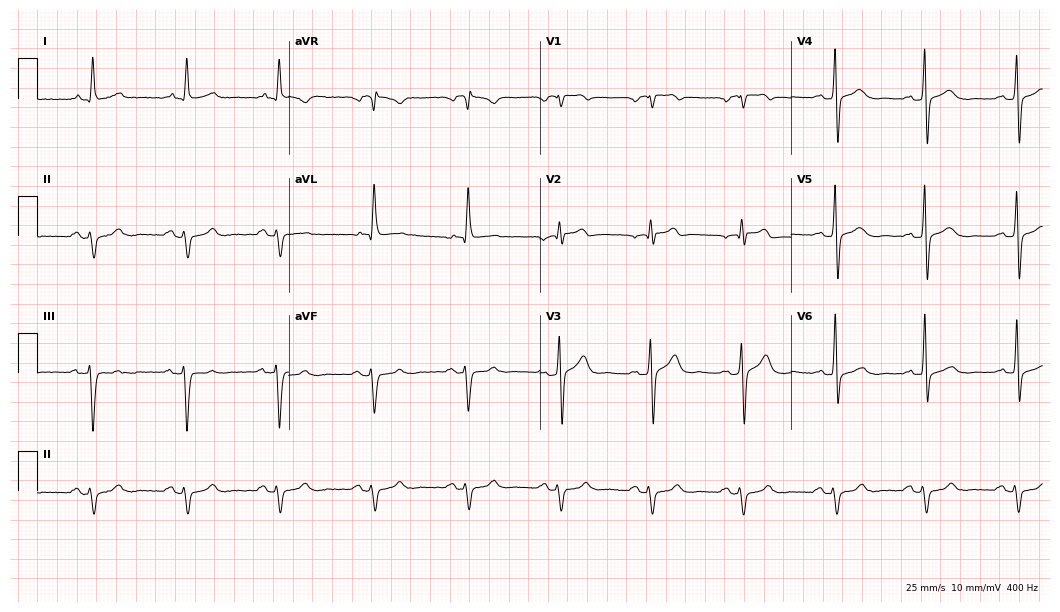
ECG — a male patient, 64 years old. Screened for six findings — first-degree AV block, right bundle branch block (RBBB), left bundle branch block (LBBB), sinus bradycardia, atrial fibrillation (AF), sinus tachycardia — none is recorded. Findings outside these six are not listed.